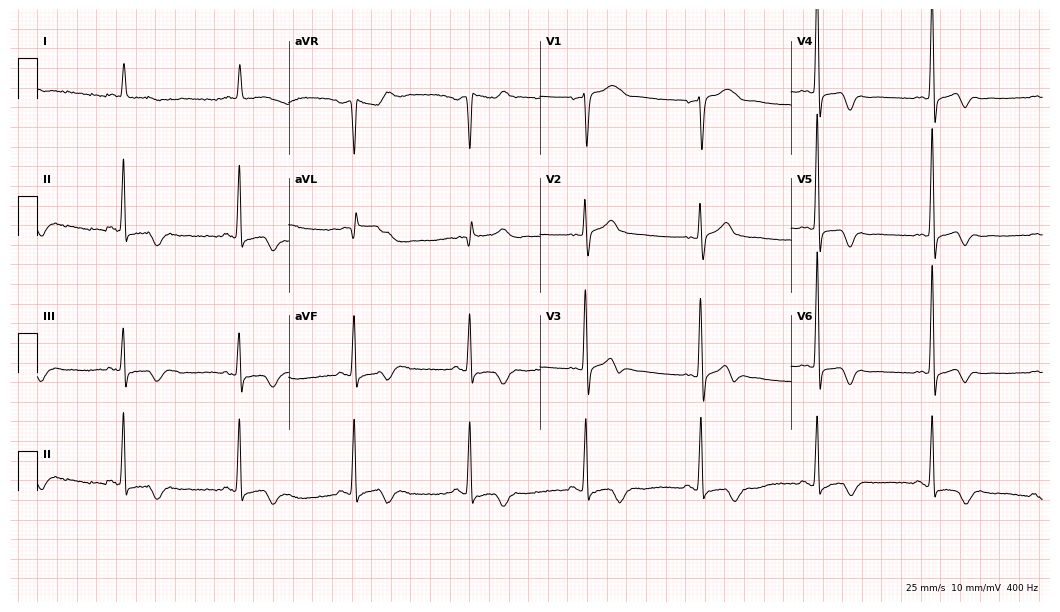
Standard 12-lead ECG recorded from a 67-year-old male patient. None of these six findings is recorded: first-degree AV block, right bundle branch block, left bundle branch block, sinus bradycardia, atrial fibrillation, sinus tachycardia.